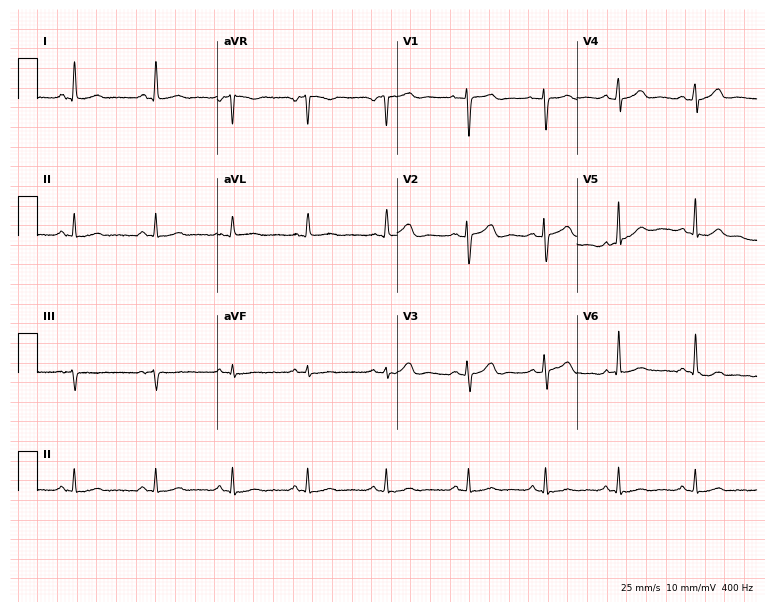
Electrocardiogram, a female patient, 31 years old. Of the six screened findings (first-degree AV block, right bundle branch block, left bundle branch block, sinus bradycardia, atrial fibrillation, sinus tachycardia), none is recorded.